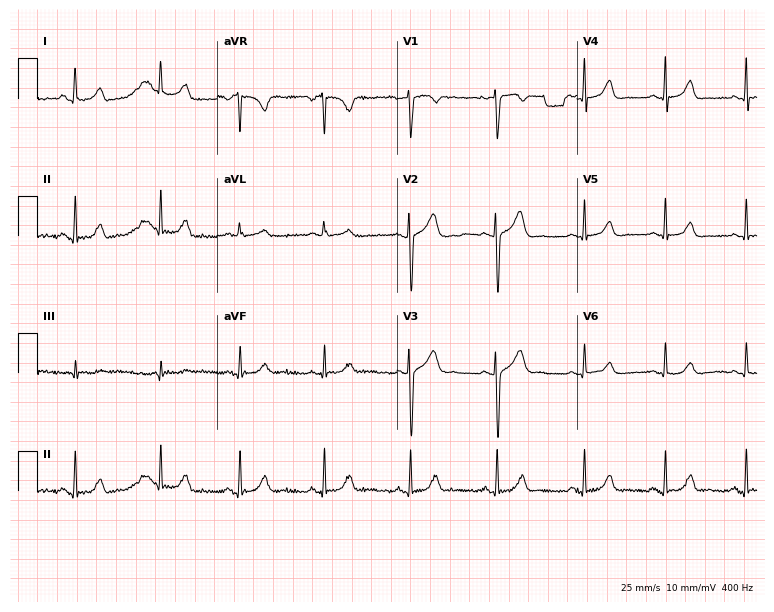
Standard 12-lead ECG recorded from a 26-year-old female (7.3-second recording at 400 Hz). None of these six findings is recorded: first-degree AV block, right bundle branch block, left bundle branch block, sinus bradycardia, atrial fibrillation, sinus tachycardia. Other findings, if any, are not listed.